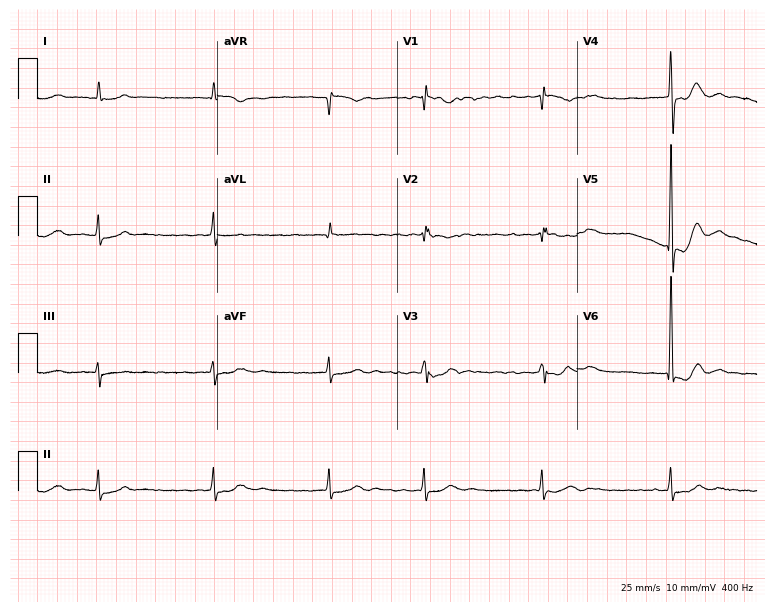
Standard 12-lead ECG recorded from a male, 84 years old (7.3-second recording at 400 Hz). The tracing shows atrial fibrillation (AF).